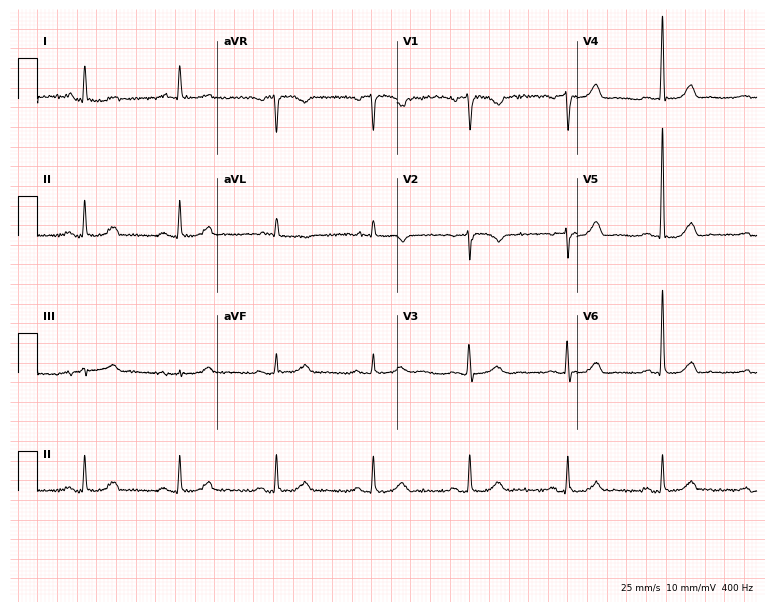
Resting 12-lead electrocardiogram (7.3-second recording at 400 Hz). Patient: a woman, 80 years old. Read as a normal ECG.